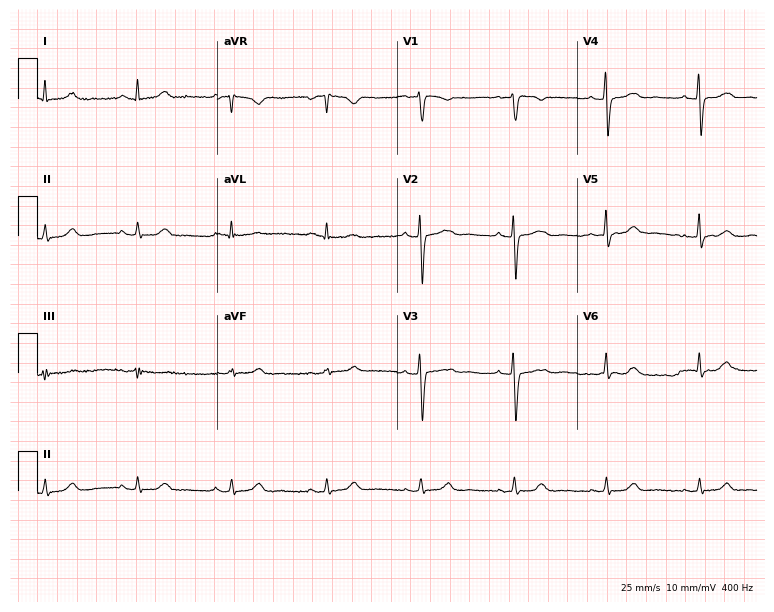
ECG (7.3-second recording at 400 Hz) — a 50-year-old female. Labelled as a normal ECG.